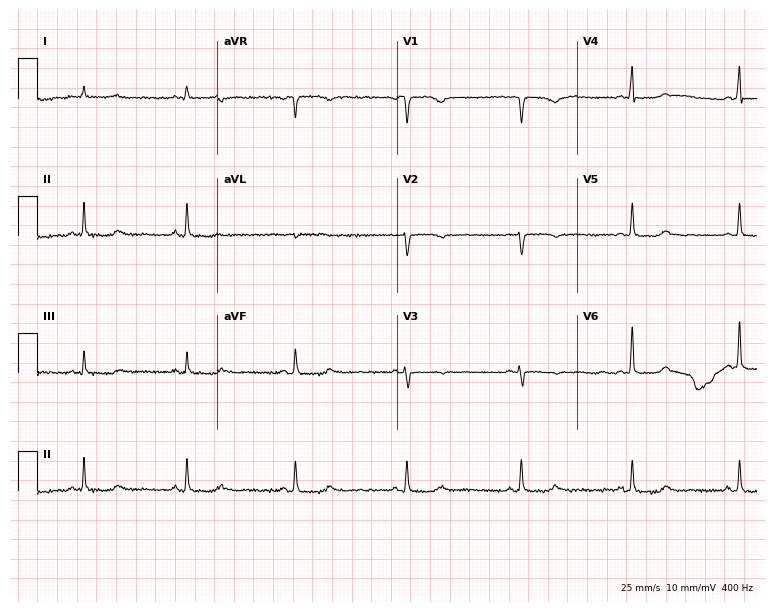
Standard 12-lead ECG recorded from a female patient, 68 years old. None of these six findings is recorded: first-degree AV block, right bundle branch block, left bundle branch block, sinus bradycardia, atrial fibrillation, sinus tachycardia. Findings outside these six are not listed.